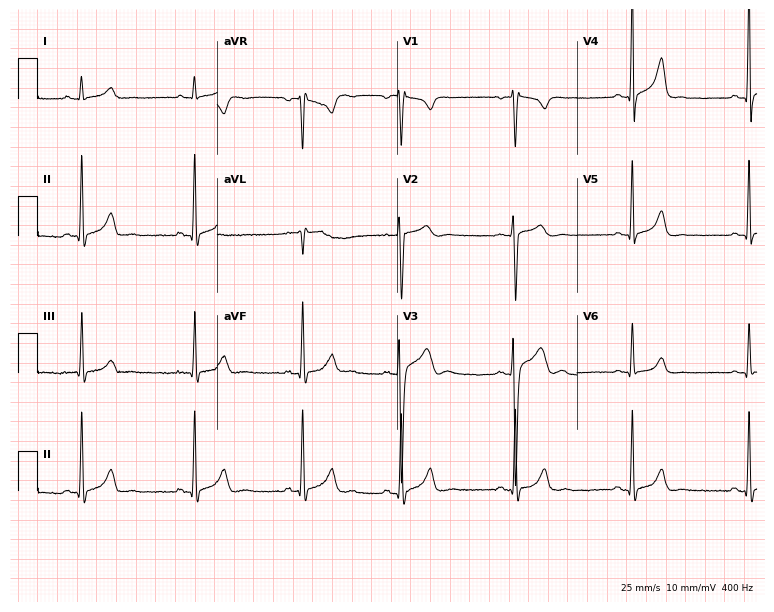
Electrocardiogram (7.3-second recording at 400 Hz), a 22-year-old male patient. Overall reading on record: normal ECG.